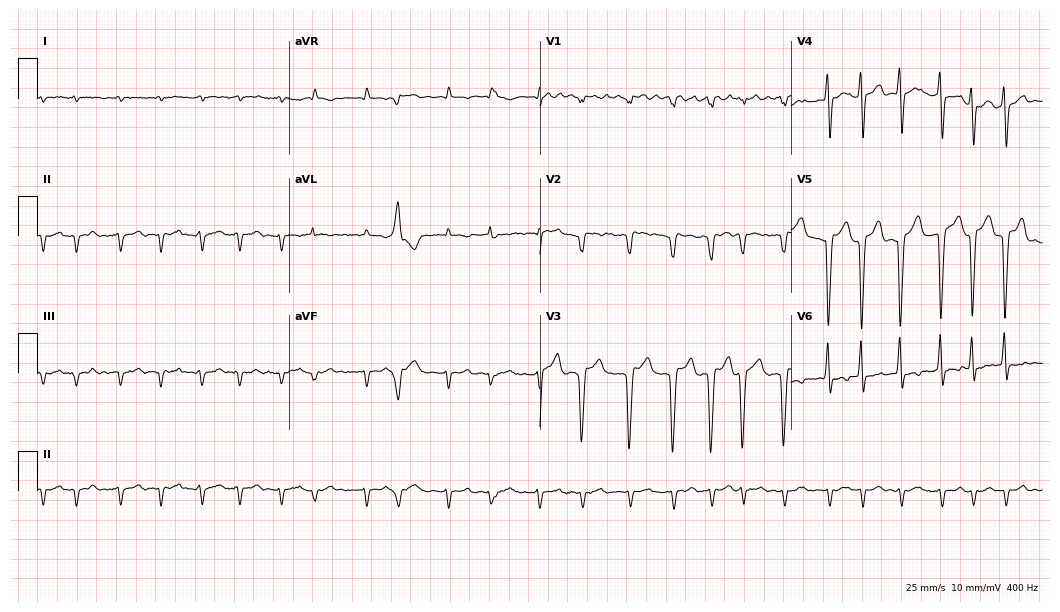
12-lead ECG from a male, 28 years old. Screened for six findings — first-degree AV block, right bundle branch block, left bundle branch block, sinus bradycardia, atrial fibrillation, sinus tachycardia — none is recorded. Findings outside these six are not listed.